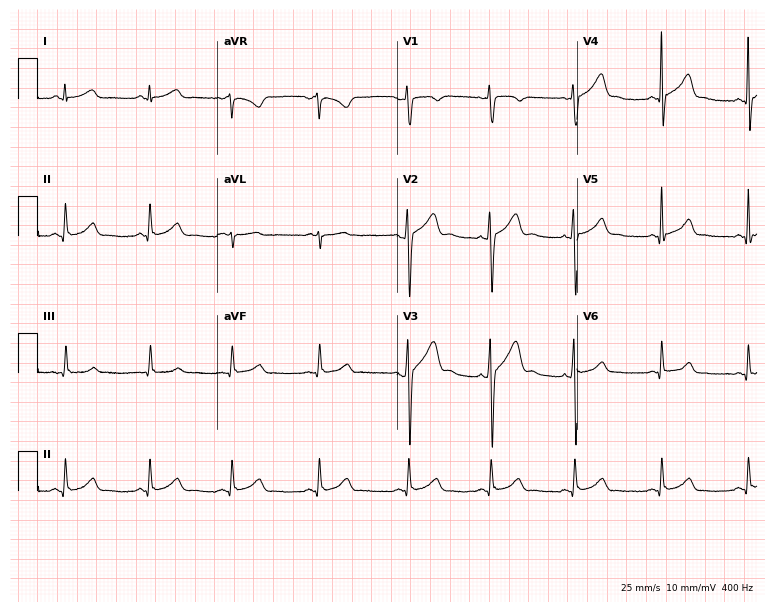
12-lead ECG (7.3-second recording at 400 Hz) from a 23-year-old male. Screened for six findings — first-degree AV block, right bundle branch block, left bundle branch block, sinus bradycardia, atrial fibrillation, sinus tachycardia — none is recorded. Findings outside these six are not listed.